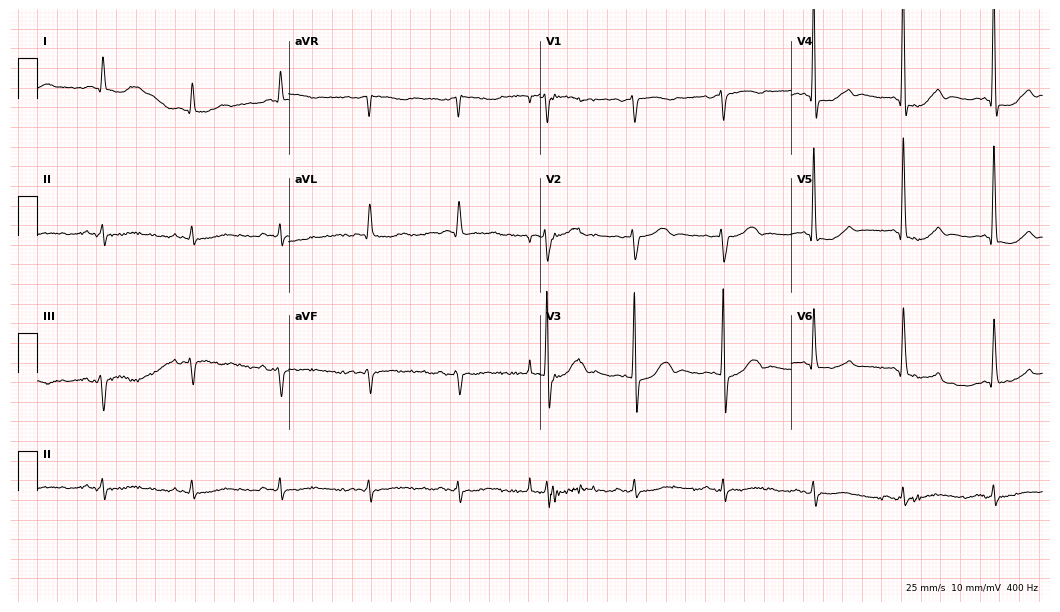
Resting 12-lead electrocardiogram. Patient: a male, 71 years old. None of these six findings is recorded: first-degree AV block, right bundle branch block, left bundle branch block, sinus bradycardia, atrial fibrillation, sinus tachycardia. Other findings, if any, are not listed.